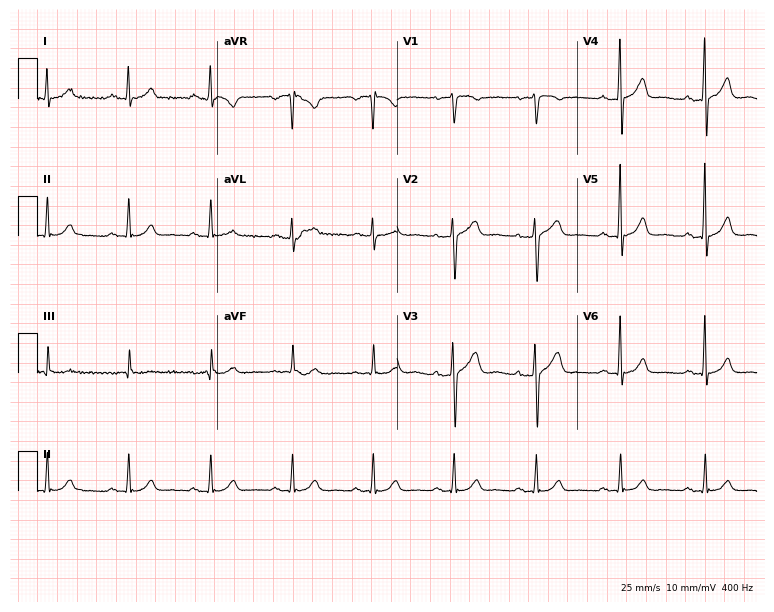
Resting 12-lead electrocardiogram (7.3-second recording at 400 Hz). Patient: a 58-year-old male. Read as a normal ECG.